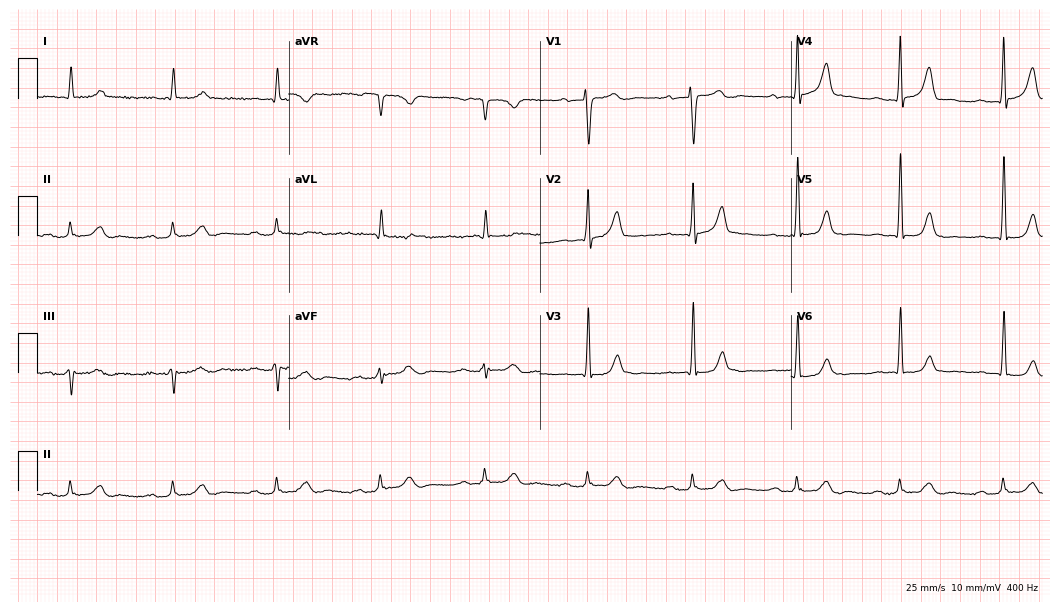
Standard 12-lead ECG recorded from a man, 82 years old. The tracing shows first-degree AV block.